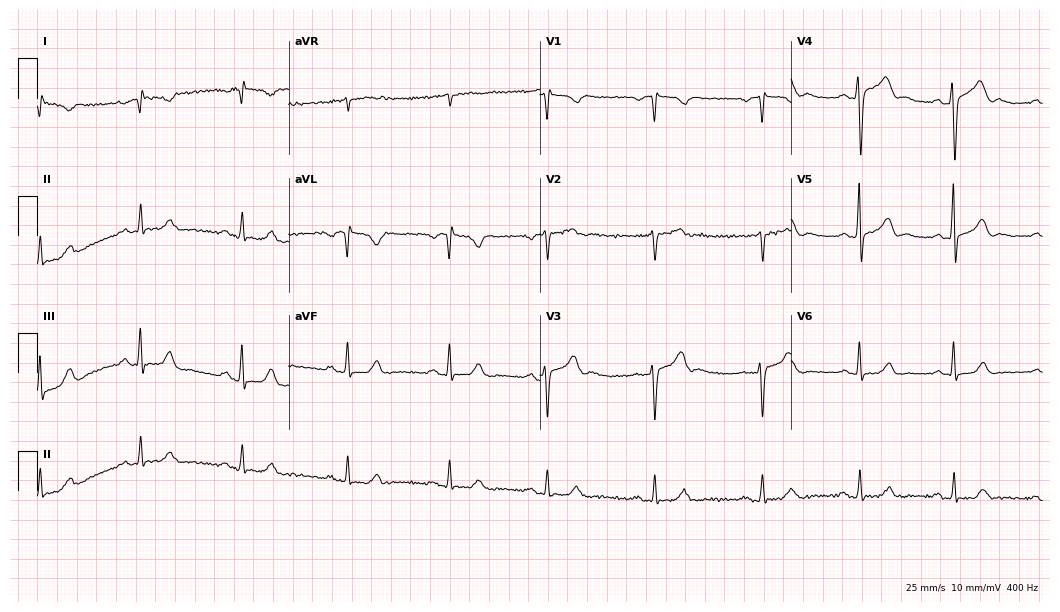
Electrocardiogram (10.2-second recording at 400 Hz), a 35-year-old male patient. Of the six screened findings (first-degree AV block, right bundle branch block (RBBB), left bundle branch block (LBBB), sinus bradycardia, atrial fibrillation (AF), sinus tachycardia), none is recorded. Only these six findings were labelled.